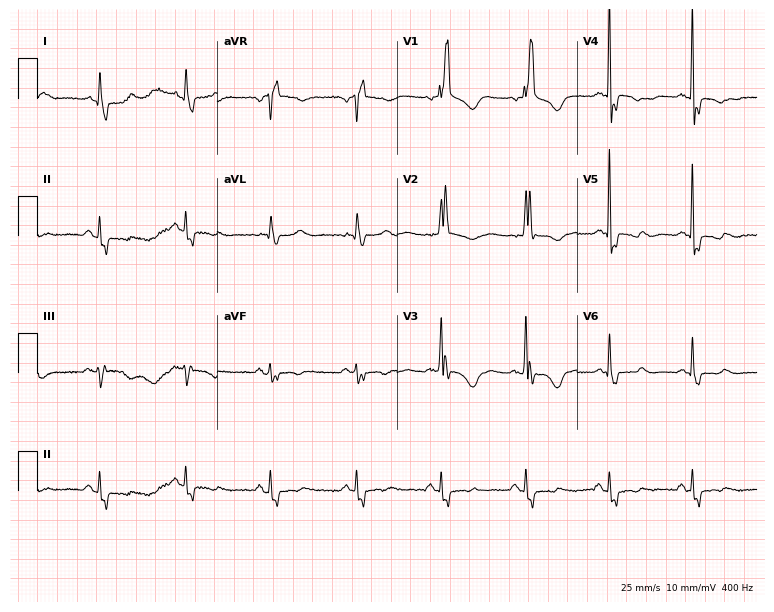
12-lead ECG from a female patient, 71 years old. Shows right bundle branch block.